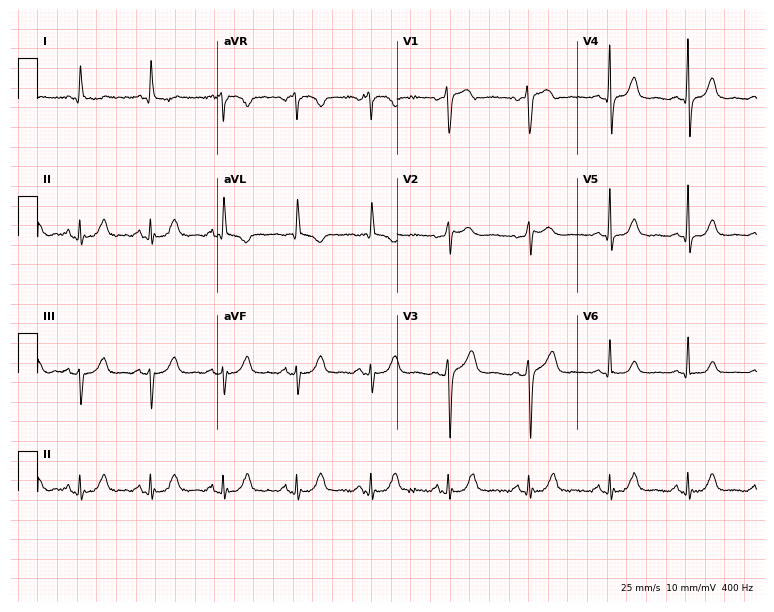
Resting 12-lead electrocardiogram (7.3-second recording at 400 Hz). Patient: a female, 57 years old. None of these six findings is recorded: first-degree AV block, right bundle branch block (RBBB), left bundle branch block (LBBB), sinus bradycardia, atrial fibrillation (AF), sinus tachycardia. Findings outside these six are not listed.